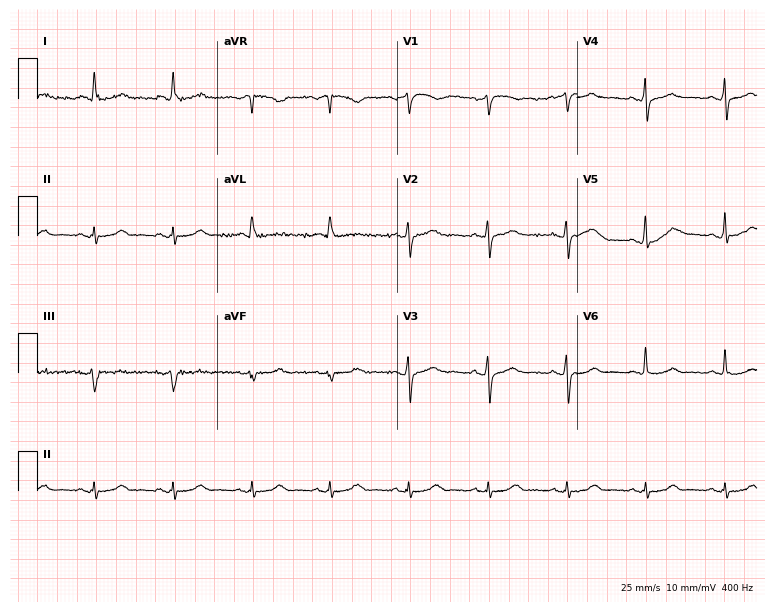
ECG — a female, 68 years old. Labelled as a normal ECG.